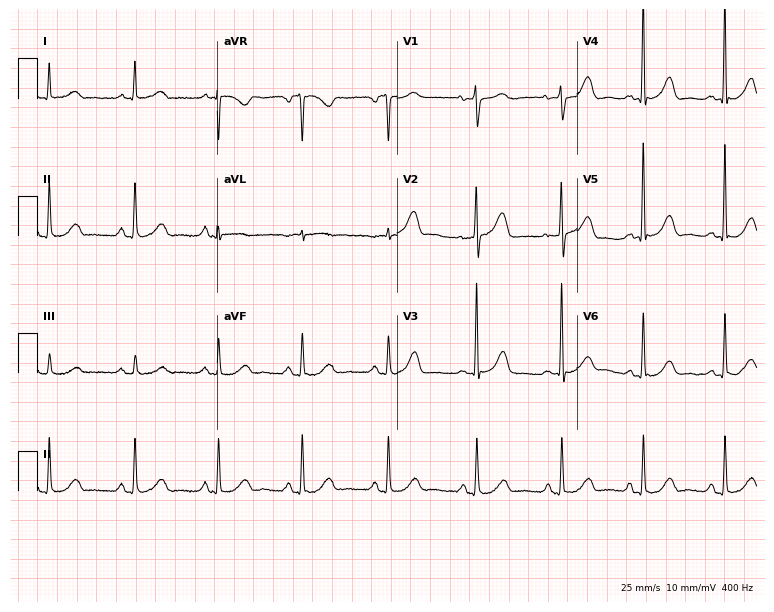
Resting 12-lead electrocardiogram (7.3-second recording at 400 Hz). Patient: a female, 74 years old. Read as a normal ECG.